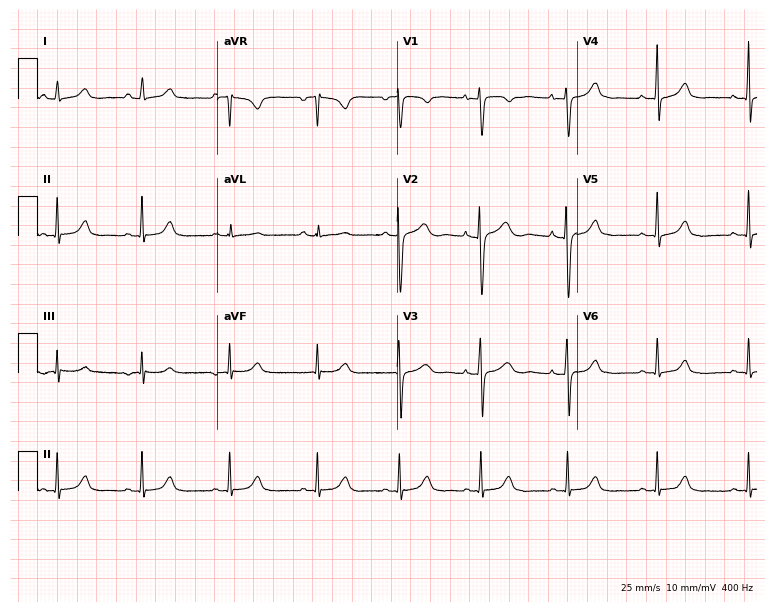
Standard 12-lead ECG recorded from a 27-year-old female patient. Read as a normal ECG.